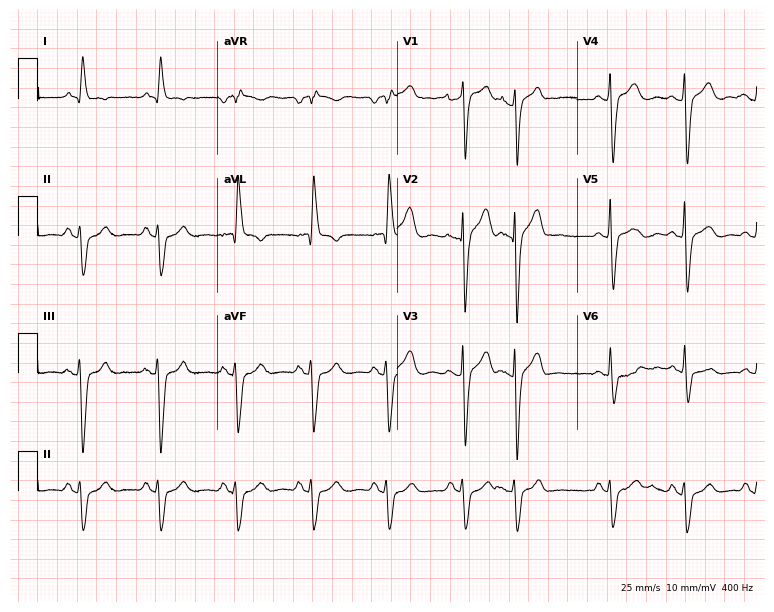
Electrocardiogram, a man, 65 years old. Of the six screened findings (first-degree AV block, right bundle branch block, left bundle branch block, sinus bradycardia, atrial fibrillation, sinus tachycardia), none is recorded.